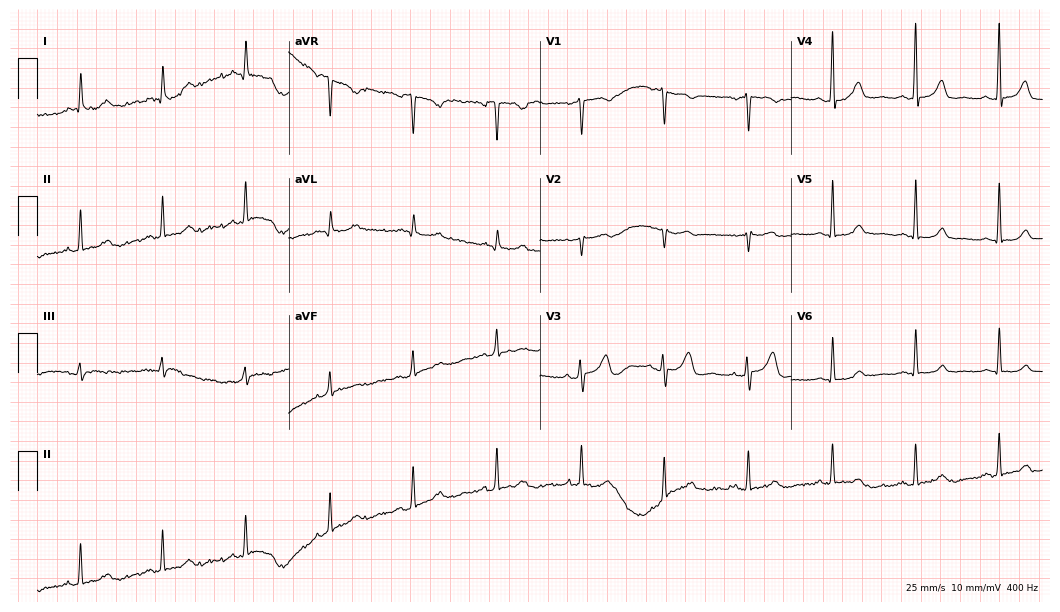
12-lead ECG from a female patient, 57 years old (10.2-second recording at 400 Hz). Recorded interpretation: within normal limits.